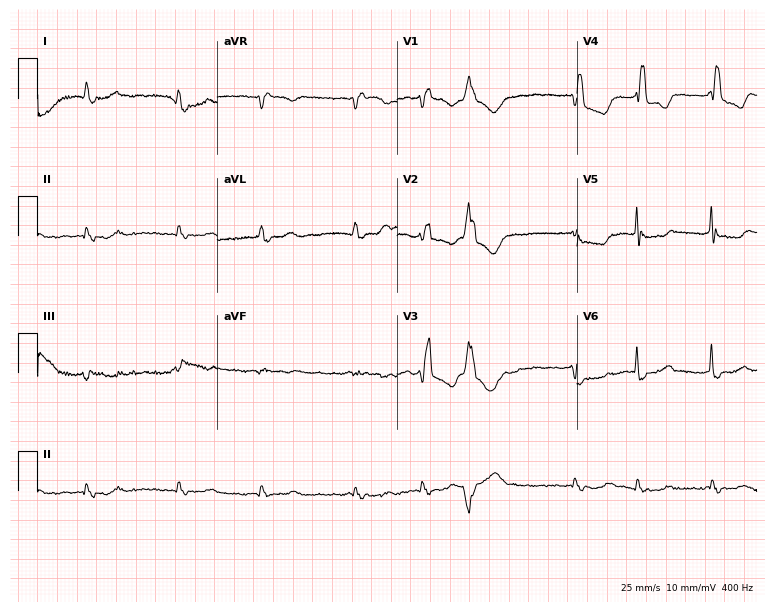
12-lead ECG from a male patient, 80 years old. Findings include right bundle branch block, atrial fibrillation.